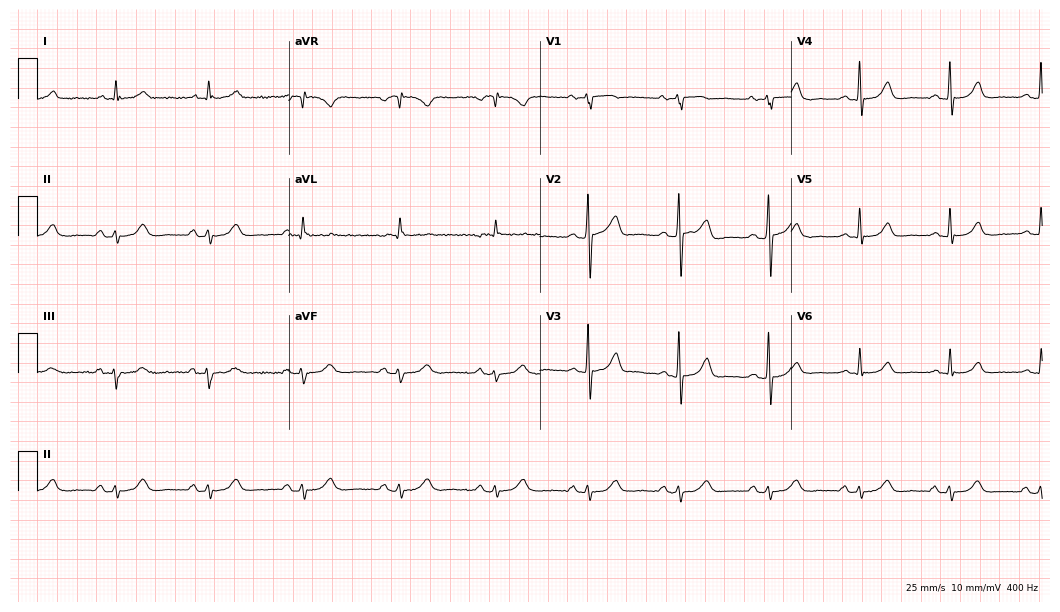
12-lead ECG from a man, 79 years old. Labelled as a normal ECG.